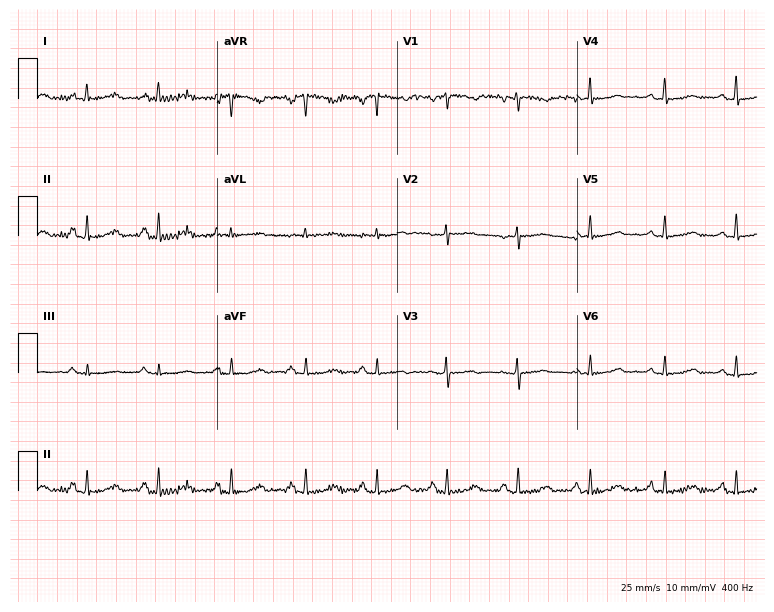
Standard 12-lead ECG recorded from a 47-year-old female (7.3-second recording at 400 Hz). Read as a normal ECG.